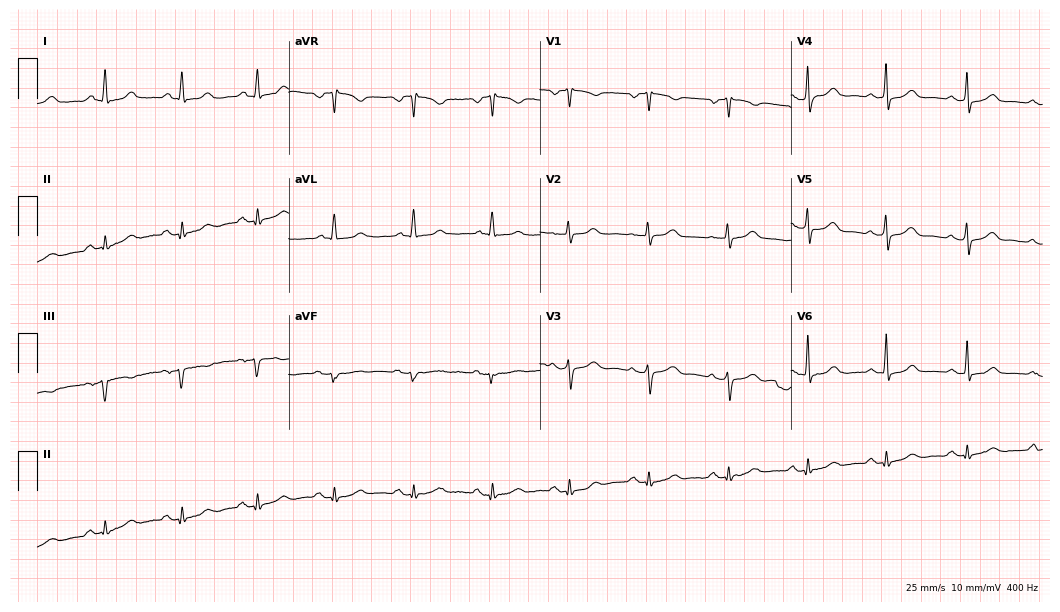
Standard 12-lead ECG recorded from a 47-year-old female. Read as a normal ECG.